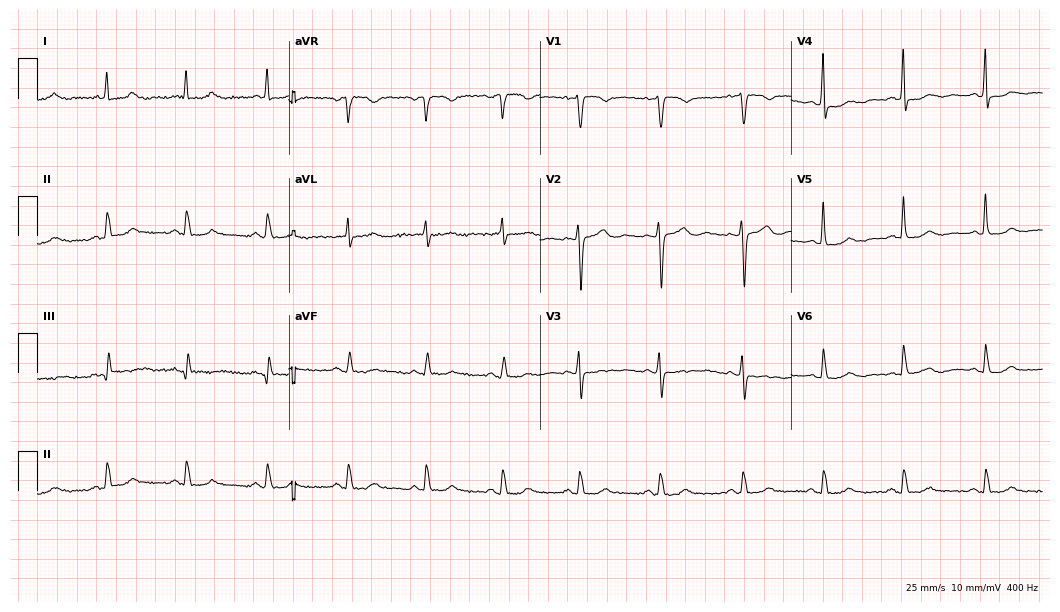
12-lead ECG from a female patient, 78 years old. No first-degree AV block, right bundle branch block (RBBB), left bundle branch block (LBBB), sinus bradycardia, atrial fibrillation (AF) or sinus tachycardia recorded for this tracing. Findings outside these six are not listed.